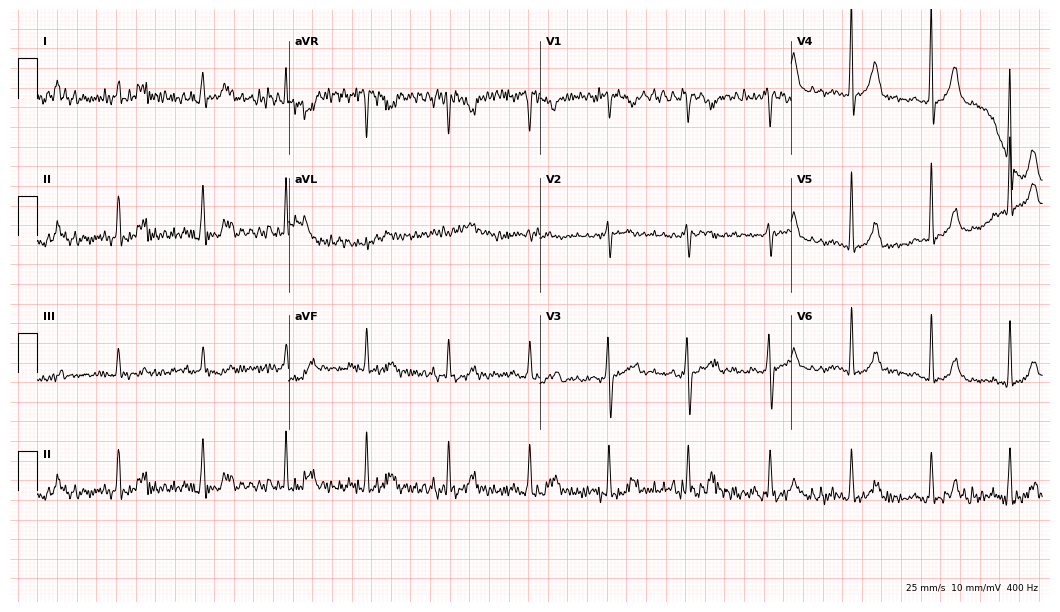
Standard 12-lead ECG recorded from a 52-year-old male patient (10.2-second recording at 400 Hz). None of these six findings is recorded: first-degree AV block, right bundle branch block, left bundle branch block, sinus bradycardia, atrial fibrillation, sinus tachycardia. Only these six findings were labelled.